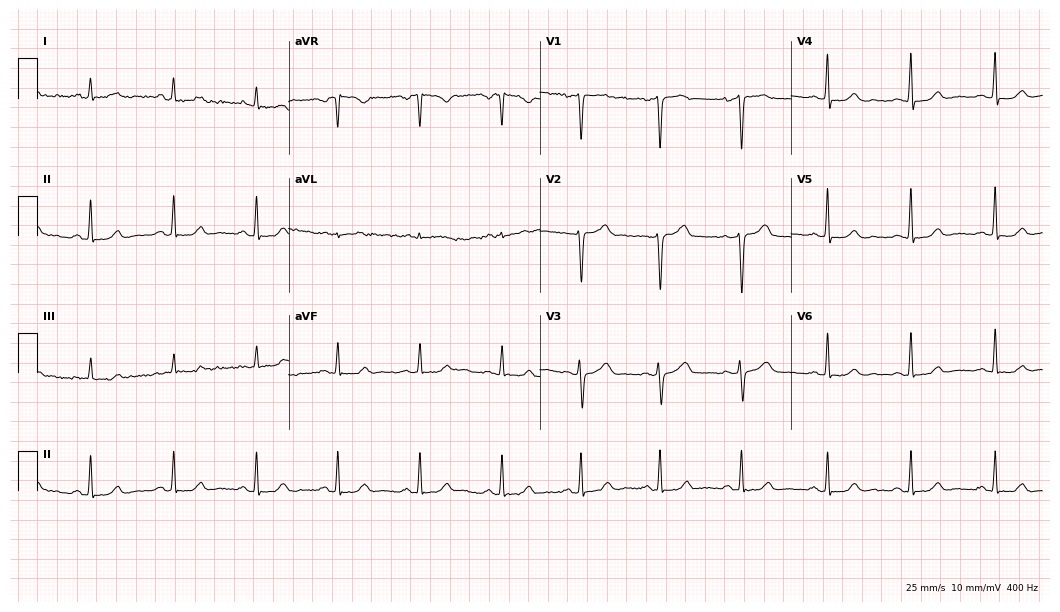
12-lead ECG (10.2-second recording at 400 Hz) from a woman, 35 years old. Labelled as a normal ECG.